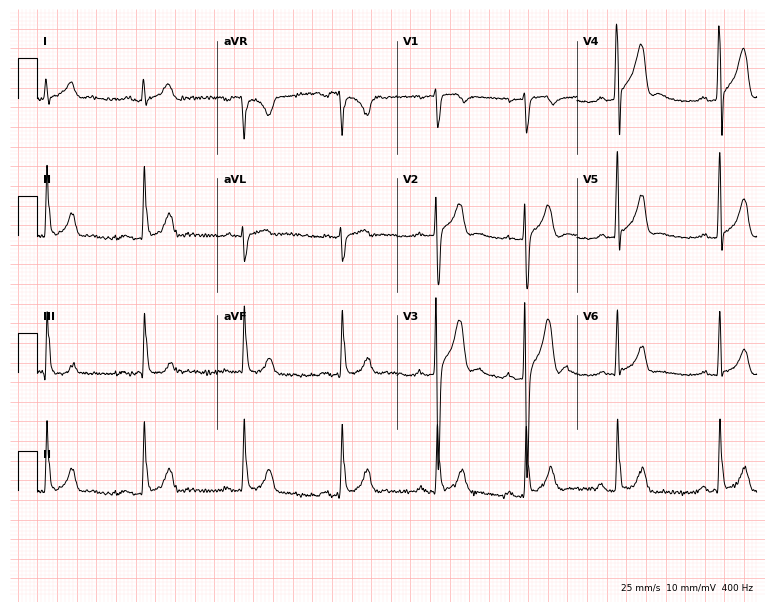
12-lead ECG (7.3-second recording at 400 Hz) from a 29-year-old male. Labelled as a normal ECG.